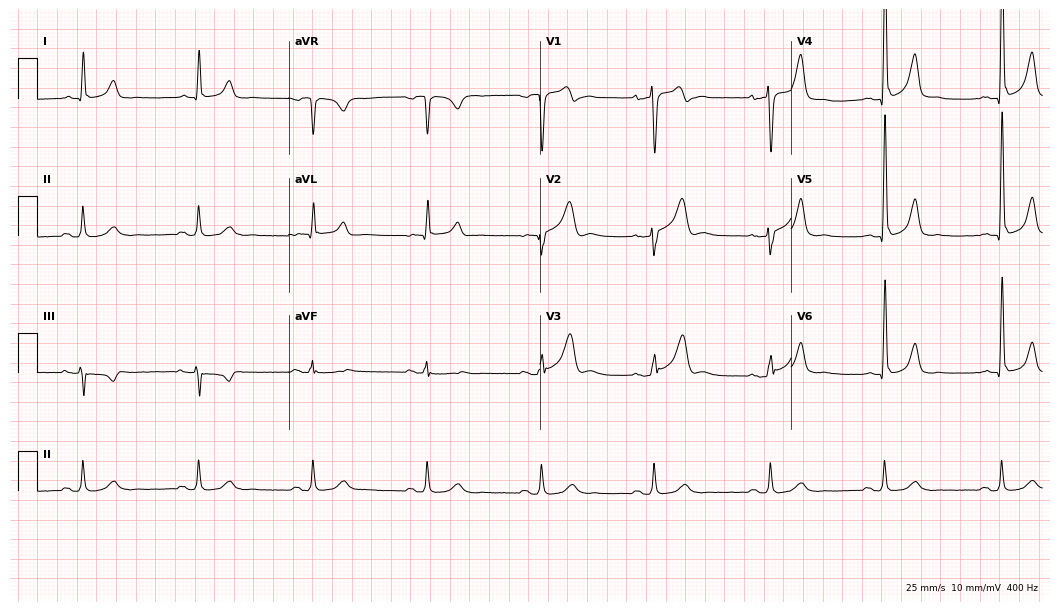
12-lead ECG (10.2-second recording at 400 Hz) from a 65-year-old male. Screened for six findings — first-degree AV block, right bundle branch block, left bundle branch block, sinus bradycardia, atrial fibrillation, sinus tachycardia — none is recorded. Other findings, if any, are not listed.